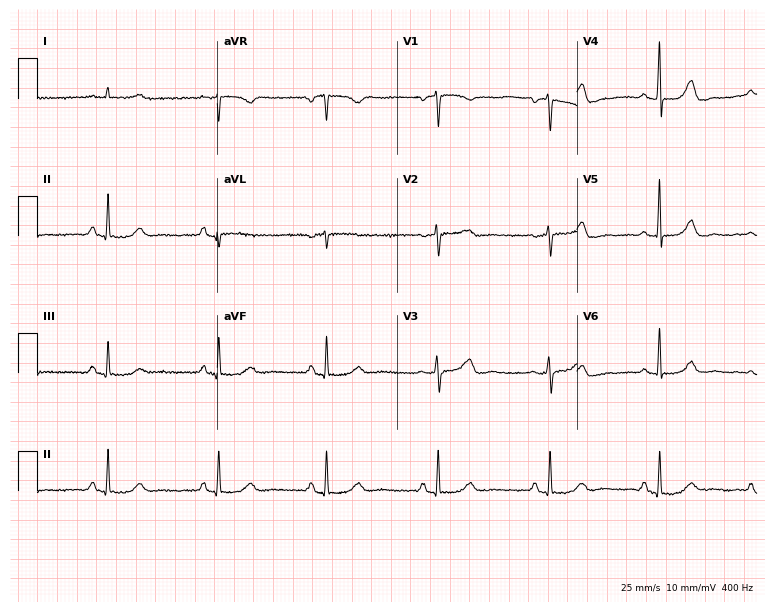
Resting 12-lead electrocardiogram. Patient: a 64-year-old female. Read as a normal ECG.